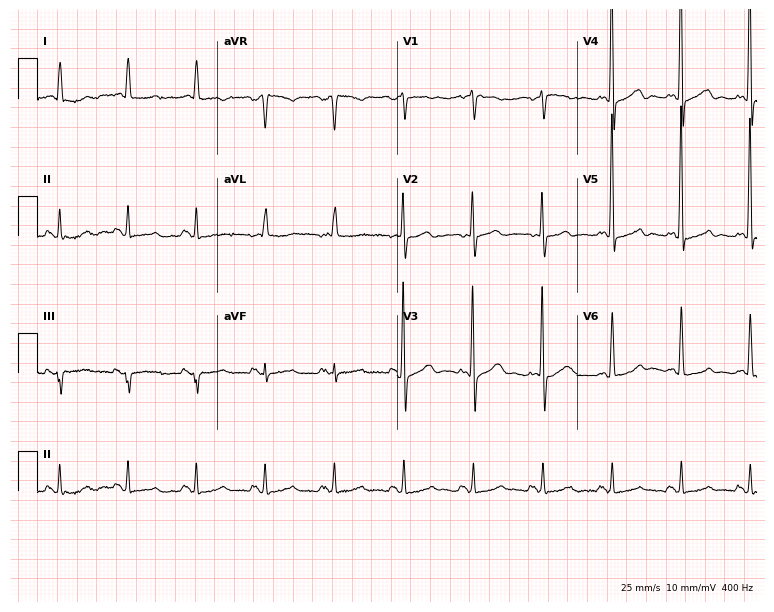
Standard 12-lead ECG recorded from an 85-year-old woman (7.3-second recording at 400 Hz). None of these six findings is recorded: first-degree AV block, right bundle branch block, left bundle branch block, sinus bradycardia, atrial fibrillation, sinus tachycardia.